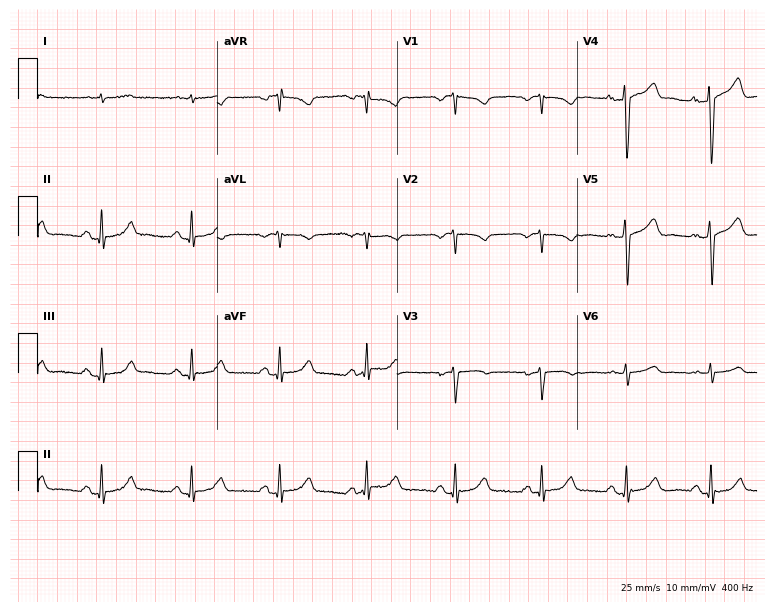
12-lead ECG from a male, 86 years old (7.3-second recording at 400 Hz). No first-degree AV block, right bundle branch block, left bundle branch block, sinus bradycardia, atrial fibrillation or sinus tachycardia recorded for this tracing. Findings outside these six are not listed.